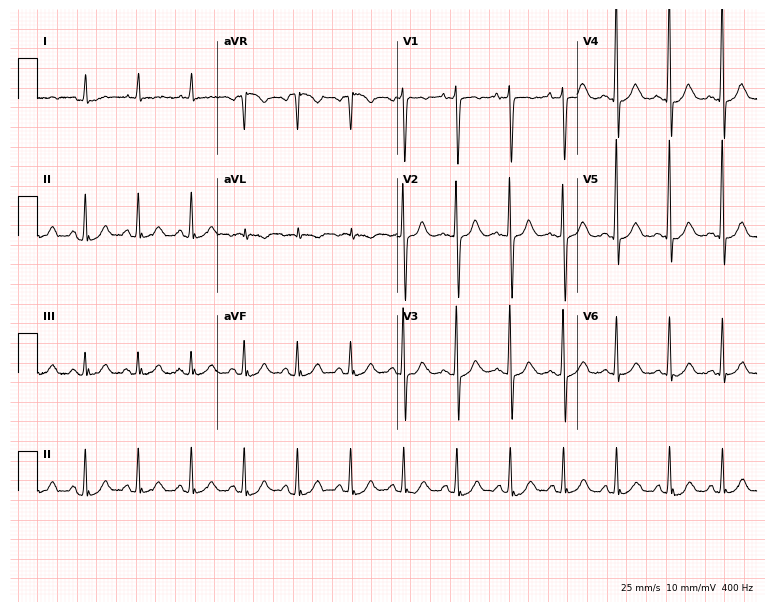
Electrocardiogram, a woman, 50 years old. Interpretation includes sinus tachycardia (a sinus rate of 100 beats per minute or more).